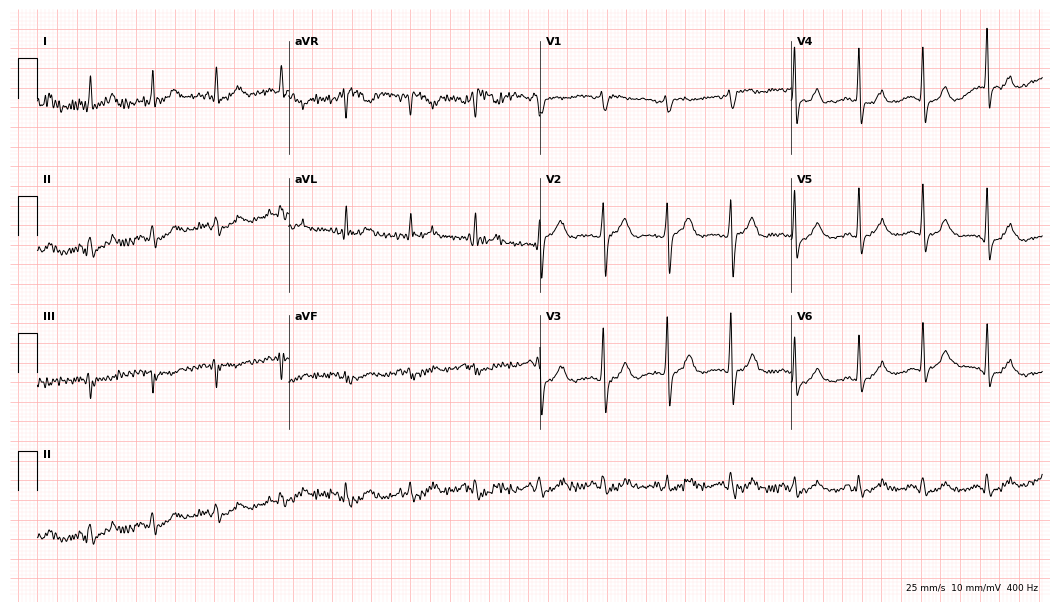
ECG — a male, 75 years old. Screened for six findings — first-degree AV block, right bundle branch block (RBBB), left bundle branch block (LBBB), sinus bradycardia, atrial fibrillation (AF), sinus tachycardia — none is recorded.